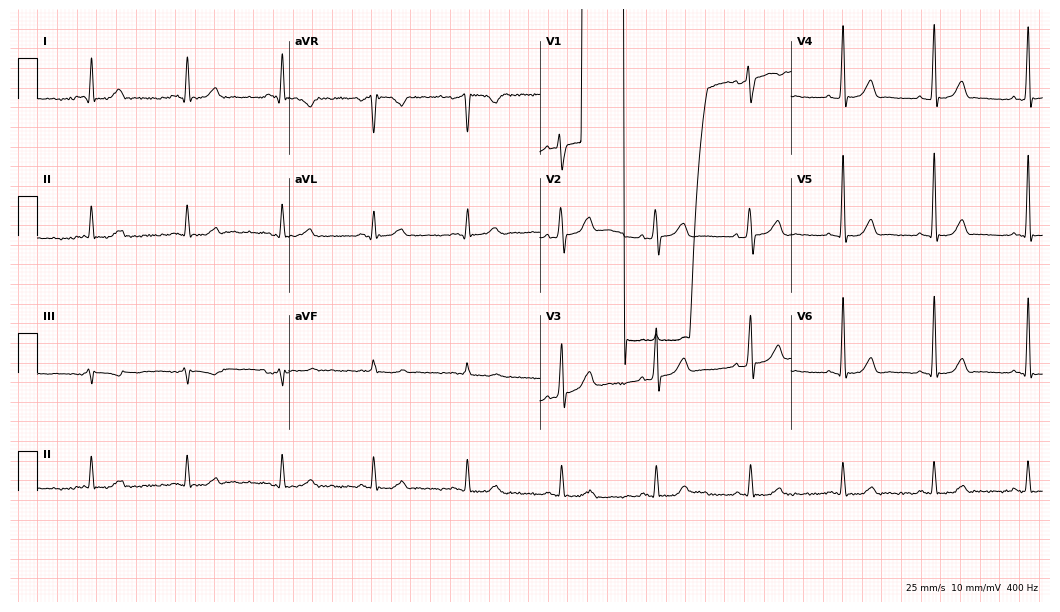
Electrocardiogram, a 49-year-old woman. Overall reading on record: normal ECG.